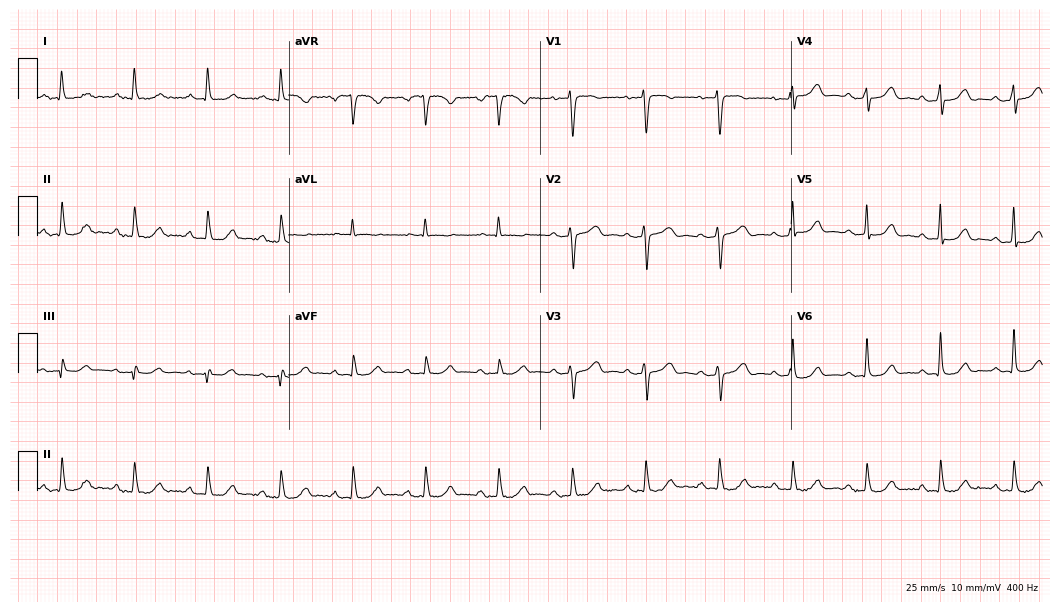
ECG — a female, 75 years old. Labelled as a normal ECG.